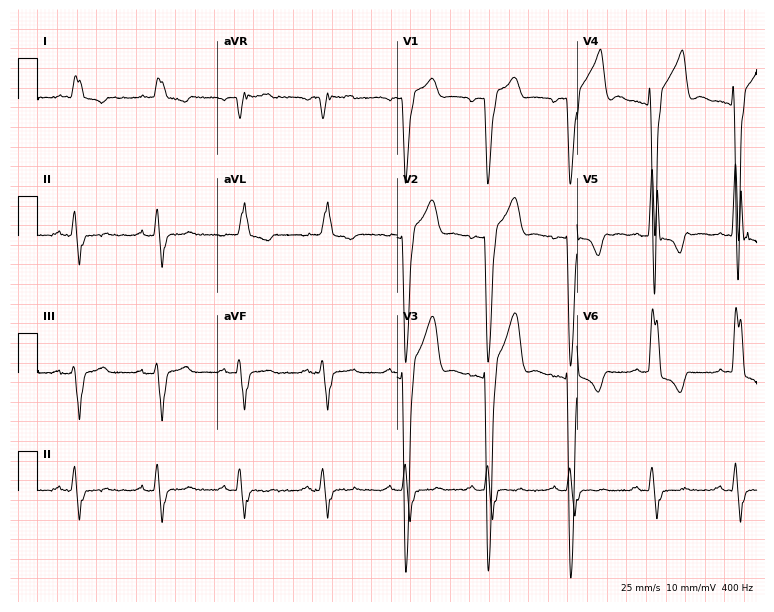
ECG (7.3-second recording at 400 Hz) — a man, 80 years old. Findings include left bundle branch block (LBBB).